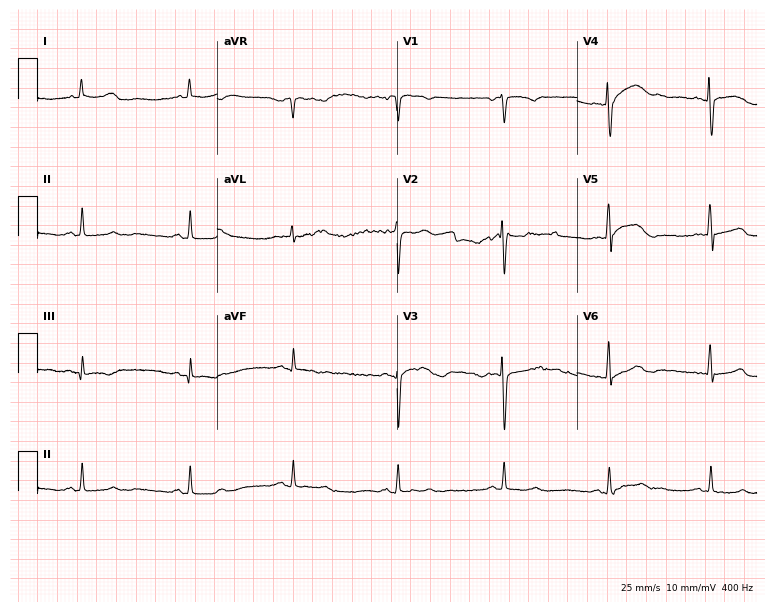
12-lead ECG from a female patient, 55 years old. No first-degree AV block, right bundle branch block, left bundle branch block, sinus bradycardia, atrial fibrillation or sinus tachycardia recorded for this tracing.